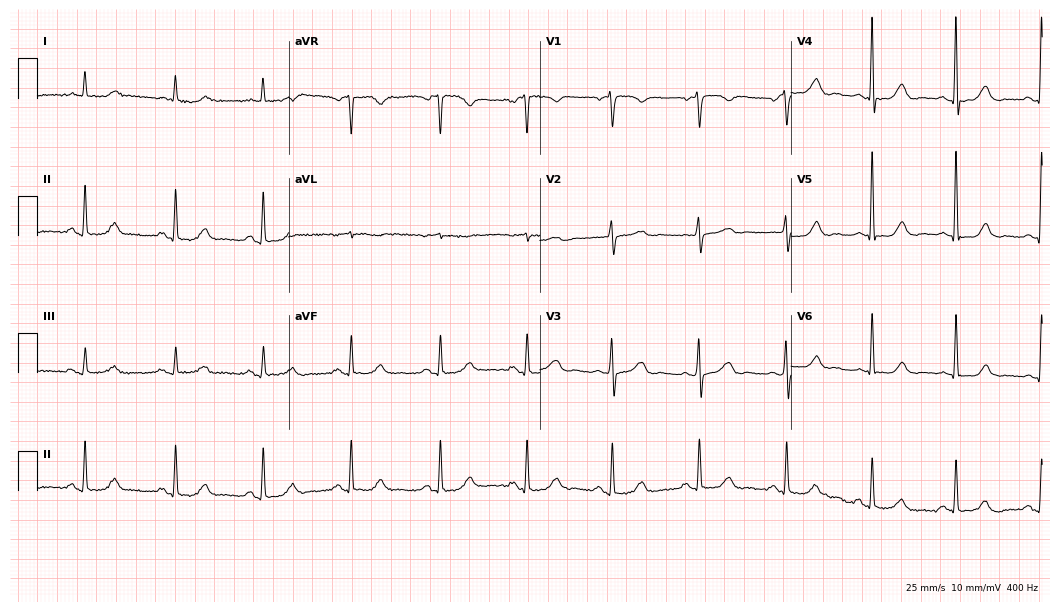
12-lead ECG from a 70-year-old female patient (10.2-second recording at 400 Hz). Recorded interpretation: within normal limits.